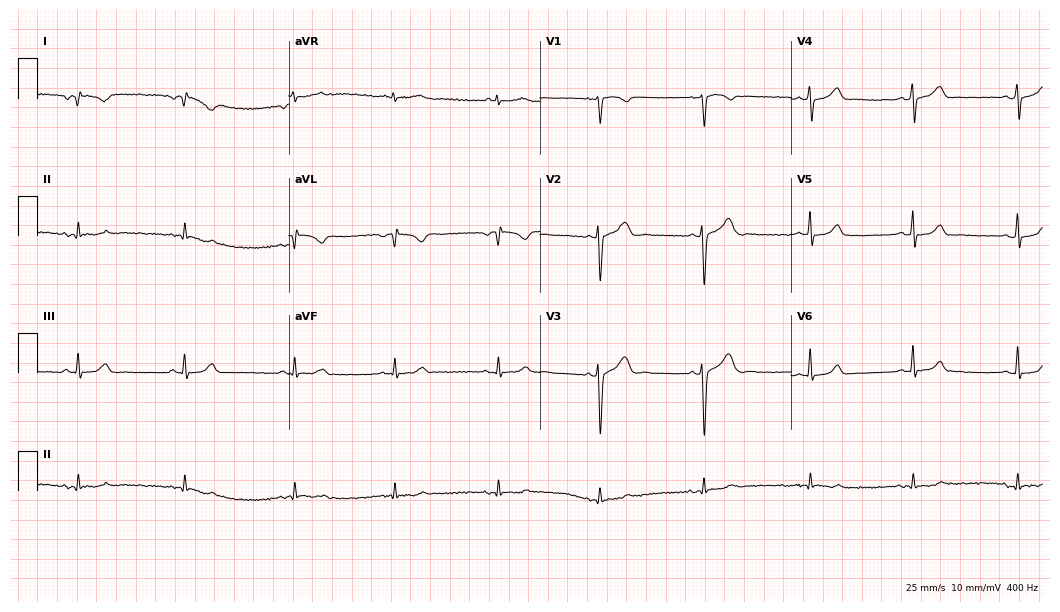
Electrocardiogram, a male patient, 53 years old. Of the six screened findings (first-degree AV block, right bundle branch block (RBBB), left bundle branch block (LBBB), sinus bradycardia, atrial fibrillation (AF), sinus tachycardia), none is recorded. Other findings, if any, are not listed.